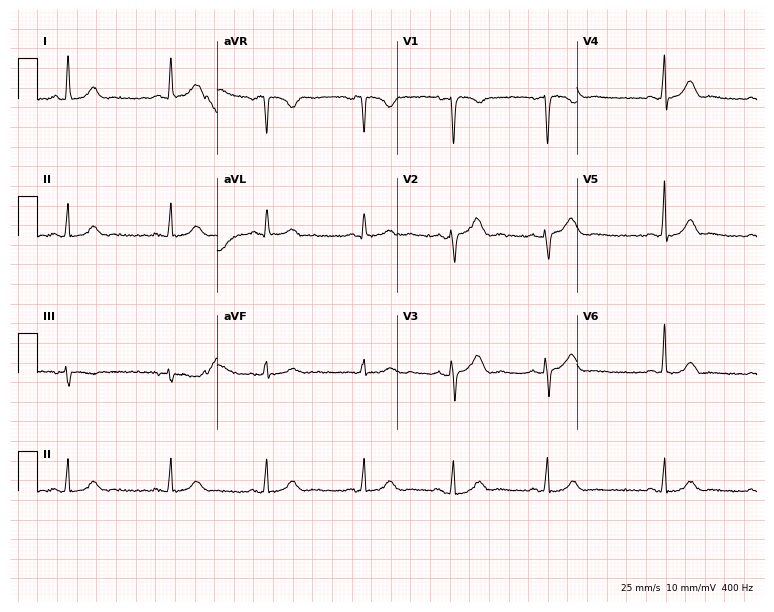
Electrocardiogram (7.3-second recording at 400 Hz), a woman, 51 years old. Of the six screened findings (first-degree AV block, right bundle branch block, left bundle branch block, sinus bradycardia, atrial fibrillation, sinus tachycardia), none is recorded. Other findings, if any, are not listed.